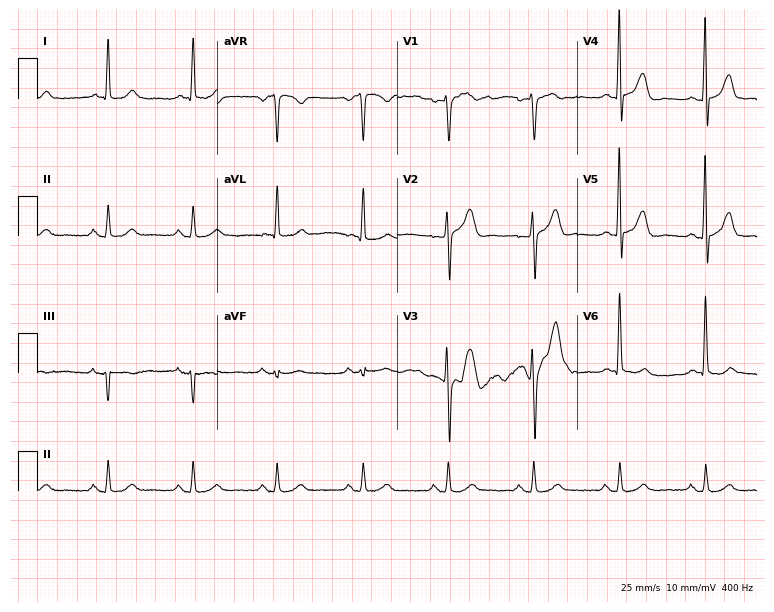
Electrocardiogram, a male, 59 years old. Overall reading on record: normal ECG.